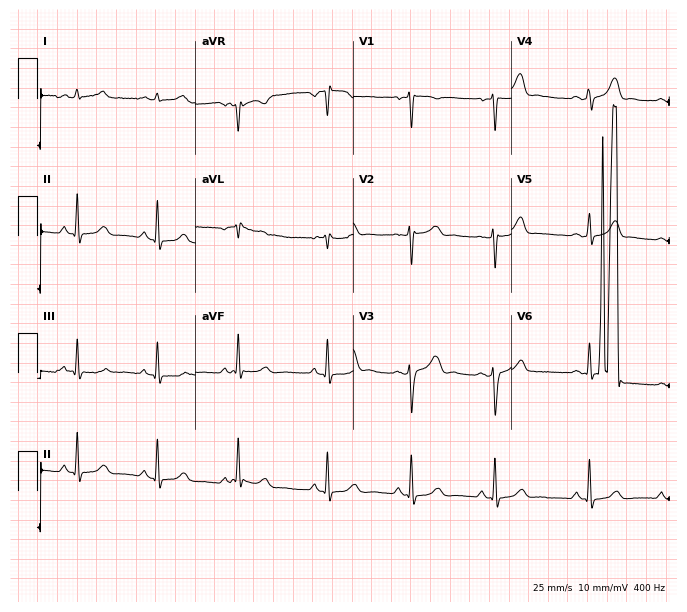
12-lead ECG from a 19-year-old female. No first-degree AV block, right bundle branch block (RBBB), left bundle branch block (LBBB), sinus bradycardia, atrial fibrillation (AF) or sinus tachycardia recorded for this tracing. Findings outside these six are not listed.